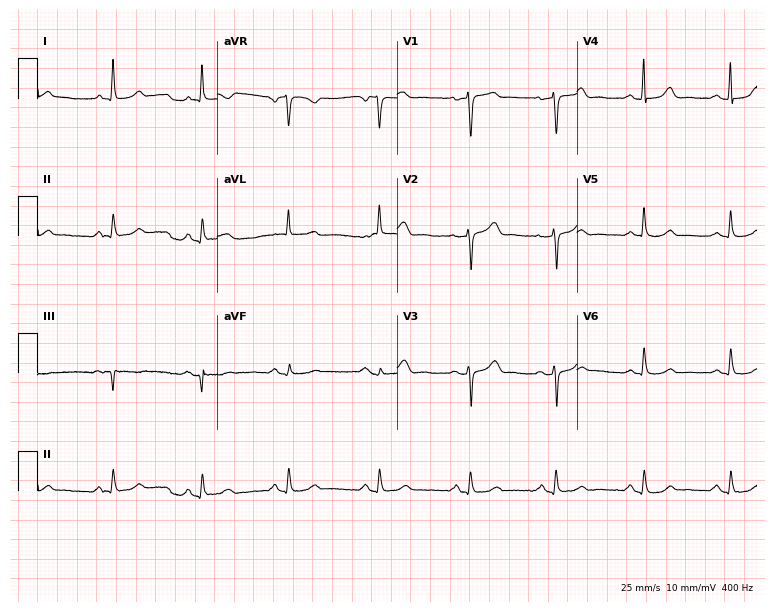
12-lead ECG (7.3-second recording at 400 Hz) from a 60-year-old female. Screened for six findings — first-degree AV block, right bundle branch block, left bundle branch block, sinus bradycardia, atrial fibrillation, sinus tachycardia — none is recorded. Other findings, if any, are not listed.